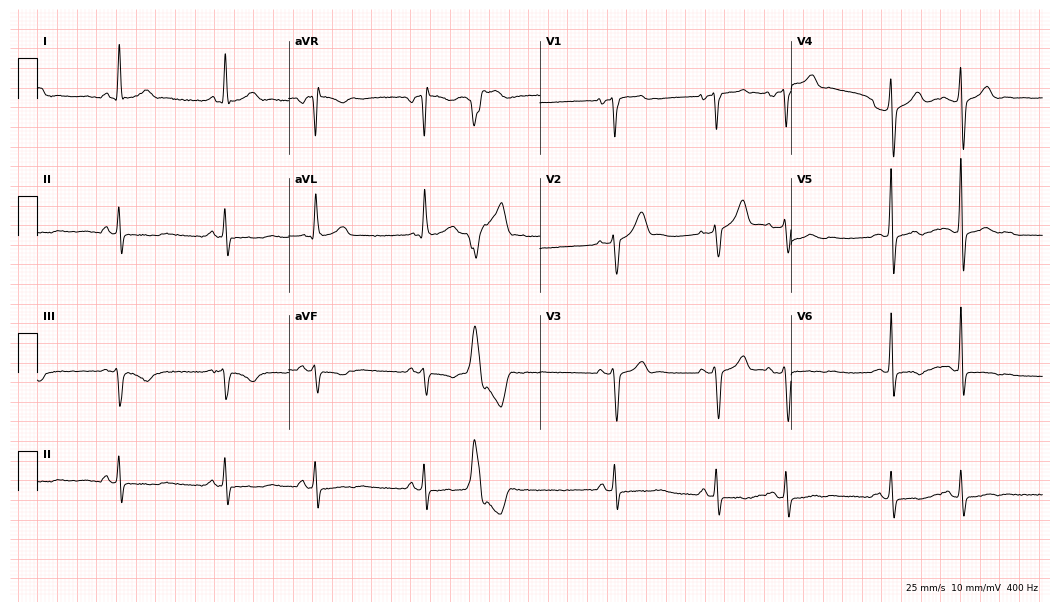
12-lead ECG (10.2-second recording at 400 Hz) from a male patient, 76 years old. Screened for six findings — first-degree AV block, right bundle branch block, left bundle branch block, sinus bradycardia, atrial fibrillation, sinus tachycardia — none is recorded.